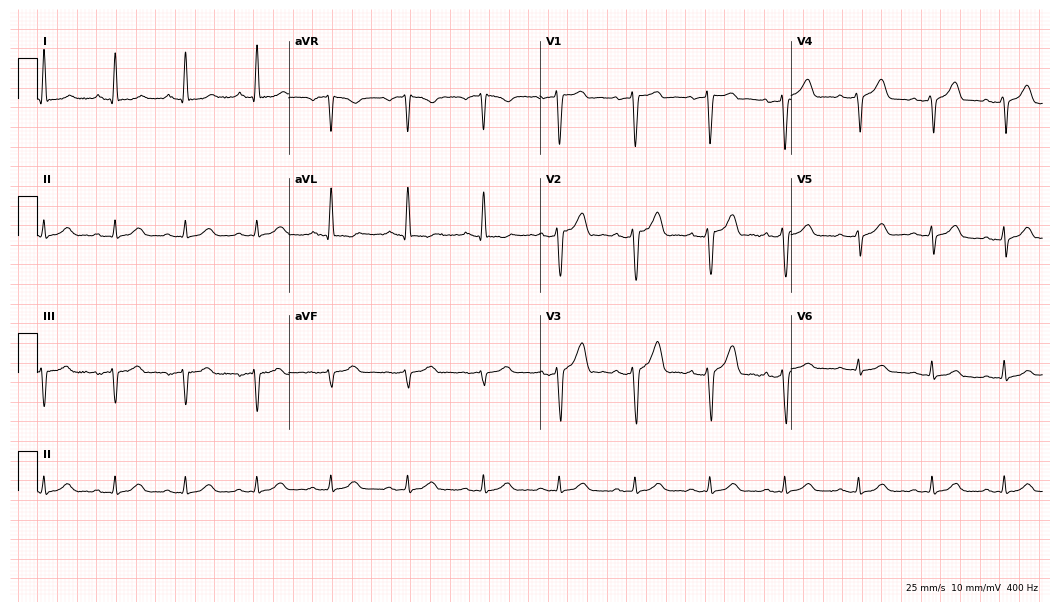
ECG (10.2-second recording at 400 Hz) — a woman, 38 years old. Labelled as a normal ECG.